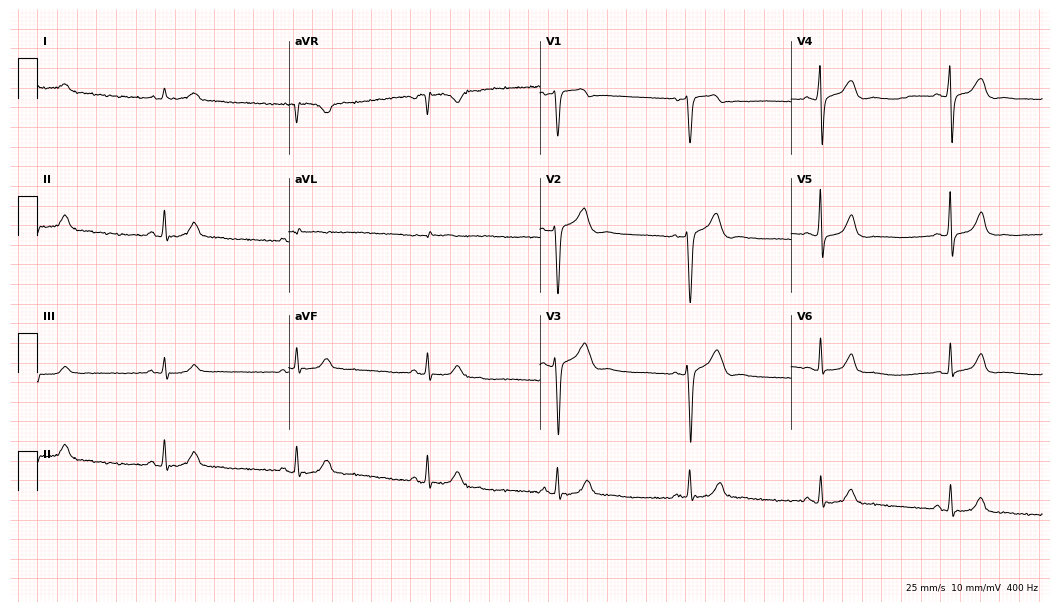
12-lead ECG from a 66-year-old male. No first-degree AV block, right bundle branch block, left bundle branch block, sinus bradycardia, atrial fibrillation or sinus tachycardia recorded for this tracing.